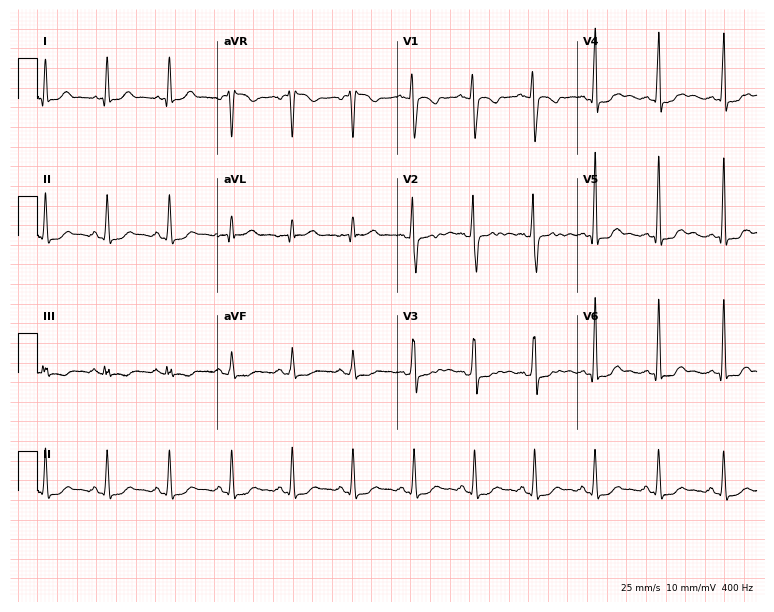
12-lead ECG from a female patient, 33 years old. No first-degree AV block, right bundle branch block (RBBB), left bundle branch block (LBBB), sinus bradycardia, atrial fibrillation (AF) or sinus tachycardia recorded for this tracing. Only these six findings were labelled.